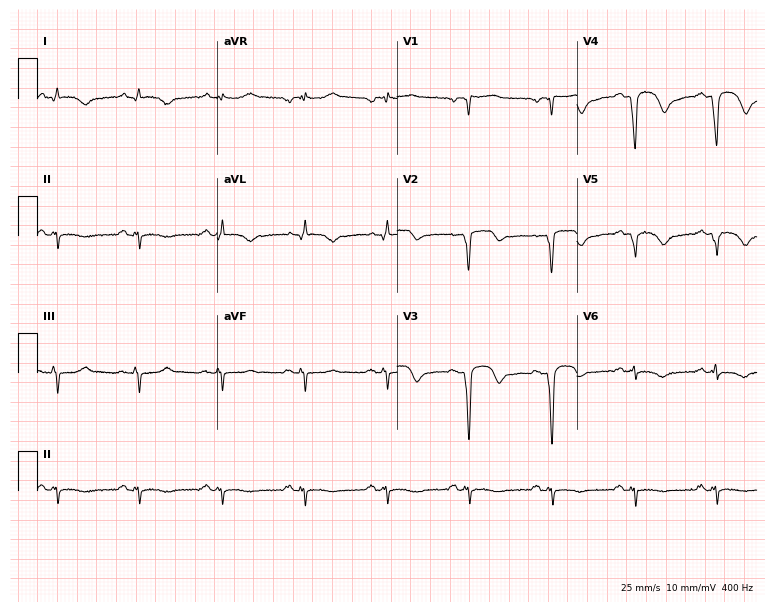
Electrocardiogram, a 66-year-old man. Of the six screened findings (first-degree AV block, right bundle branch block, left bundle branch block, sinus bradycardia, atrial fibrillation, sinus tachycardia), none is recorded. Other findings, if any, are not listed.